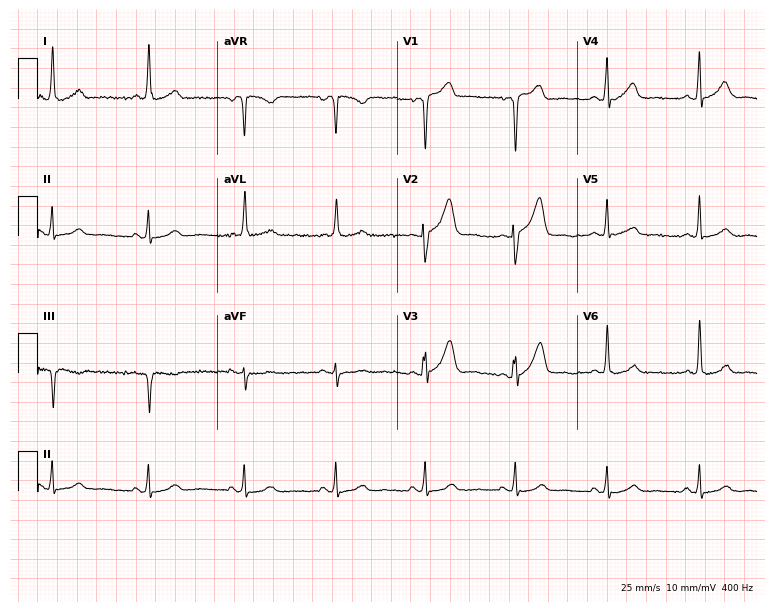
ECG — a 48-year-old male patient. Screened for six findings — first-degree AV block, right bundle branch block, left bundle branch block, sinus bradycardia, atrial fibrillation, sinus tachycardia — none is recorded. Only these six findings were labelled.